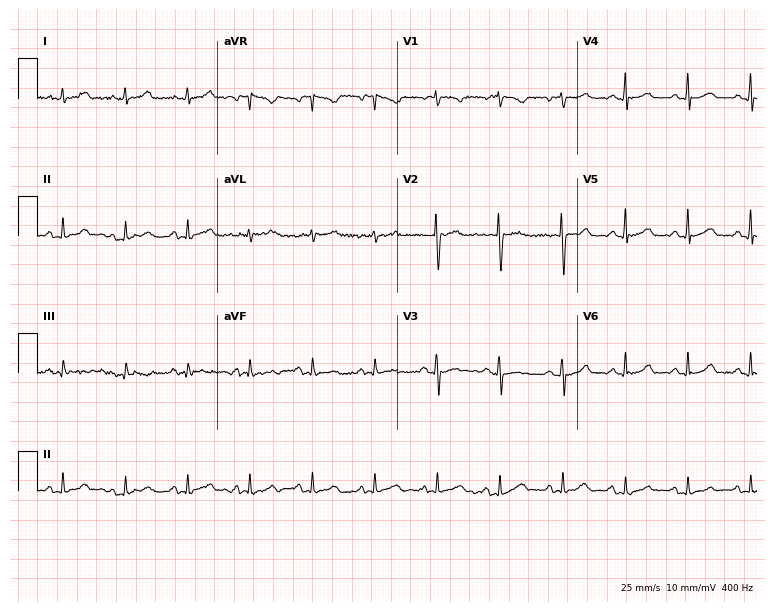
12-lead ECG from a woman, 73 years old. Recorded interpretation: within normal limits.